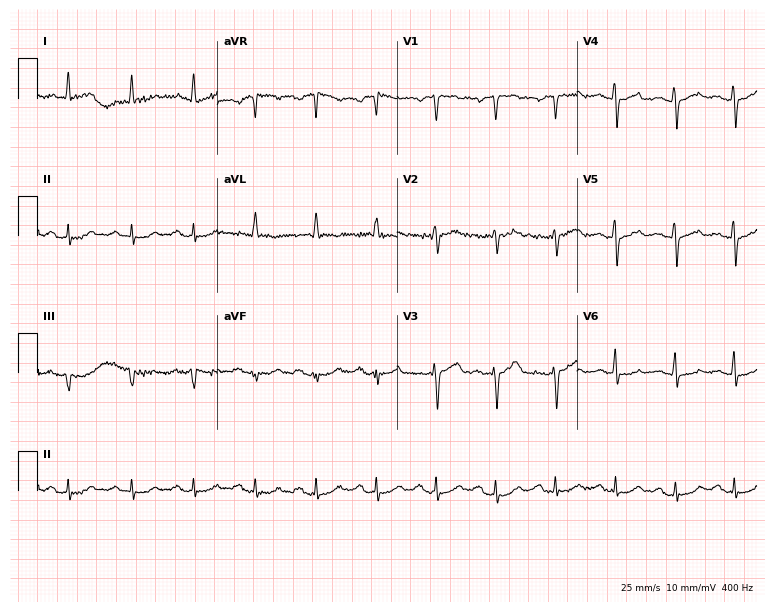
Standard 12-lead ECG recorded from a male, 61 years old. None of these six findings is recorded: first-degree AV block, right bundle branch block (RBBB), left bundle branch block (LBBB), sinus bradycardia, atrial fibrillation (AF), sinus tachycardia. Only these six findings were labelled.